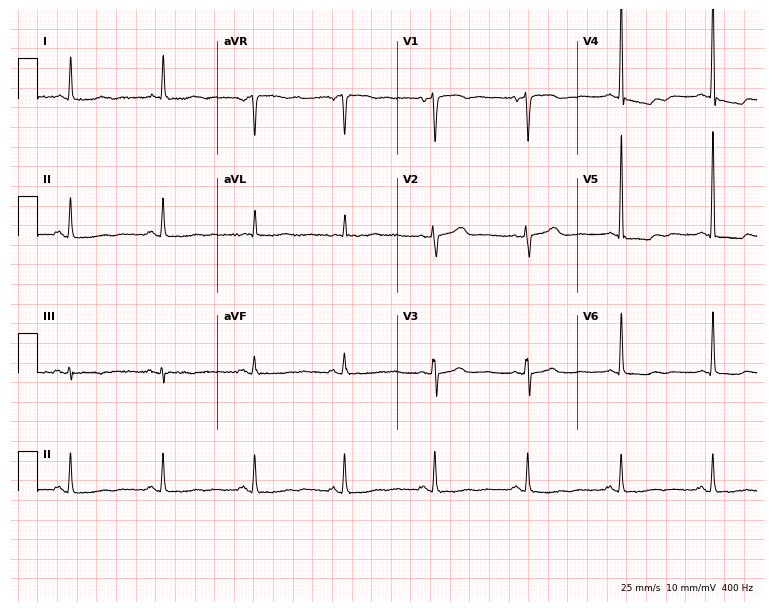
Standard 12-lead ECG recorded from an 82-year-old female patient (7.3-second recording at 400 Hz). Read as a normal ECG.